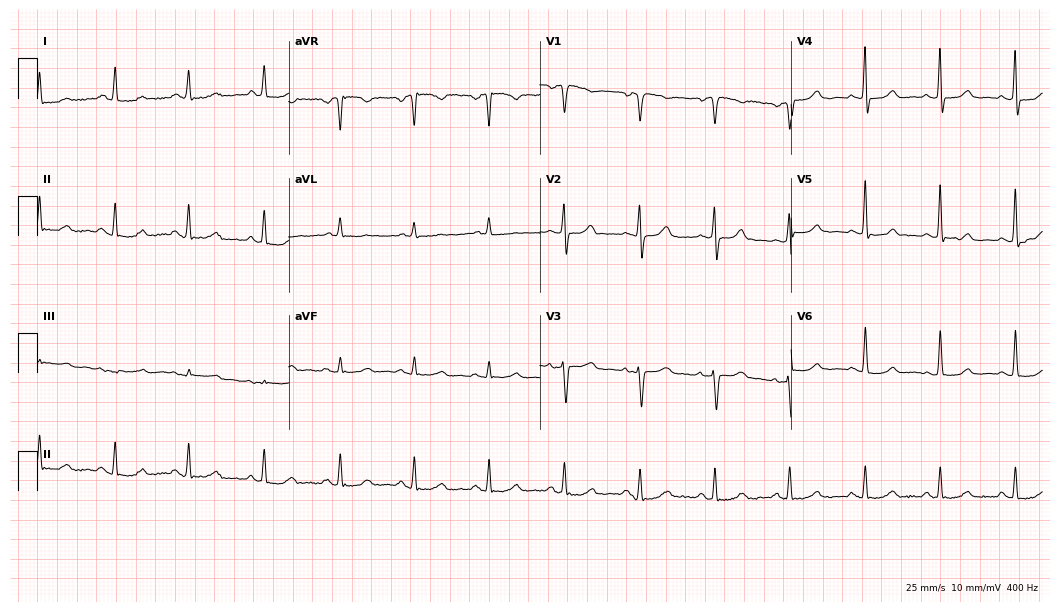
ECG (10.2-second recording at 400 Hz) — a 61-year-old female. Labelled as a normal ECG.